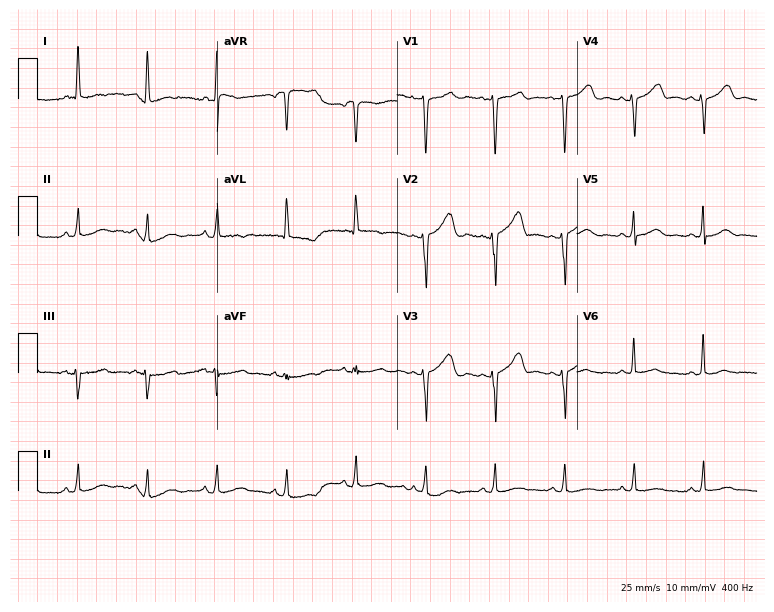
Standard 12-lead ECG recorded from a female, 44 years old. None of these six findings is recorded: first-degree AV block, right bundle branch block, left bundle branch block, sinus bradycardia, atrial fibrillation, sinus tachycardia. Other findings, if any, are not listed.